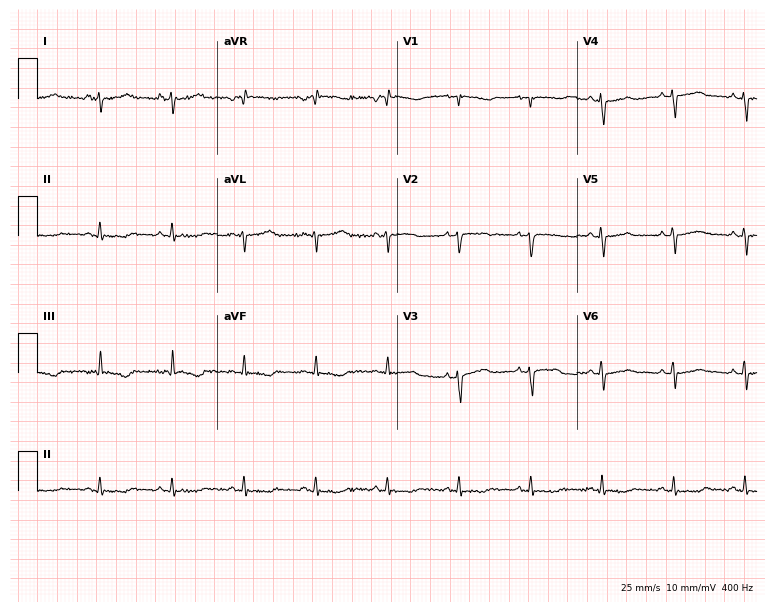
Electrocardiogram (7.3-second recording at 400 Hz), a 62-year-old female patient. Of the six screened findings (first-degree AV block, right bundle branch block, left bundle branch block, sinus bradycardia, atrial fibrillation, sinus tachycardia), none is recorded. Only these six findings were labelled.